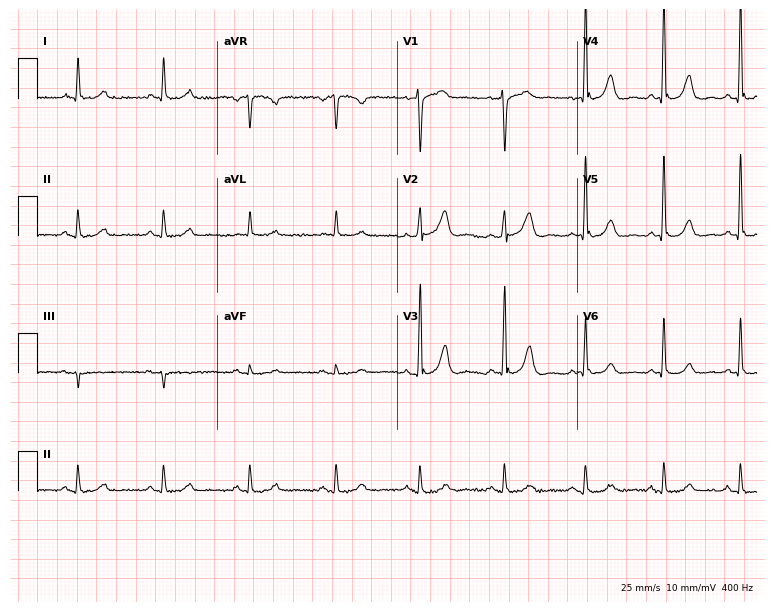
12-lead ECG (7.3-second recording at 400 Hz) from a 65-year-old male. Screened for six findings — first-degree AV block, right bundle branch block, left bundle branch block, sinus bradycardia, atrial fibrillation, sinus tachycardia — none is recorded.